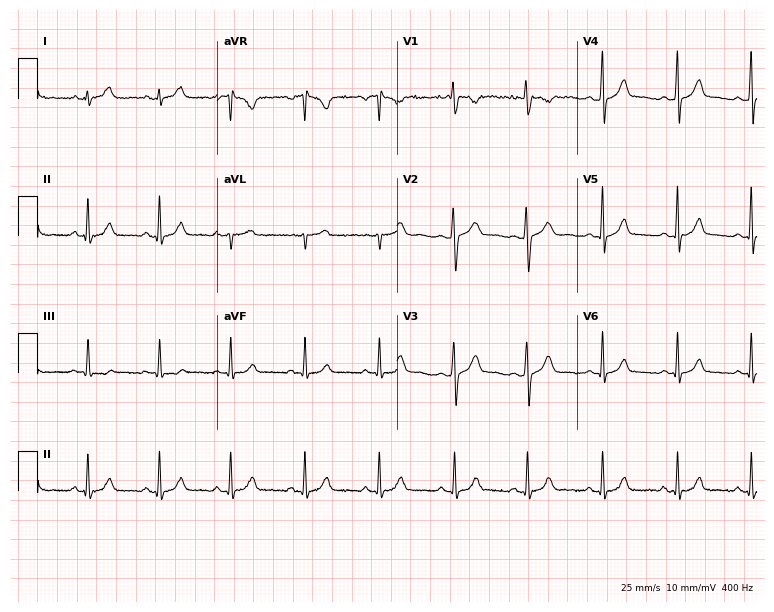
Resting 12-lead electrocardiogram. Patient: a 19-year-old female. Read as a normal ECG.